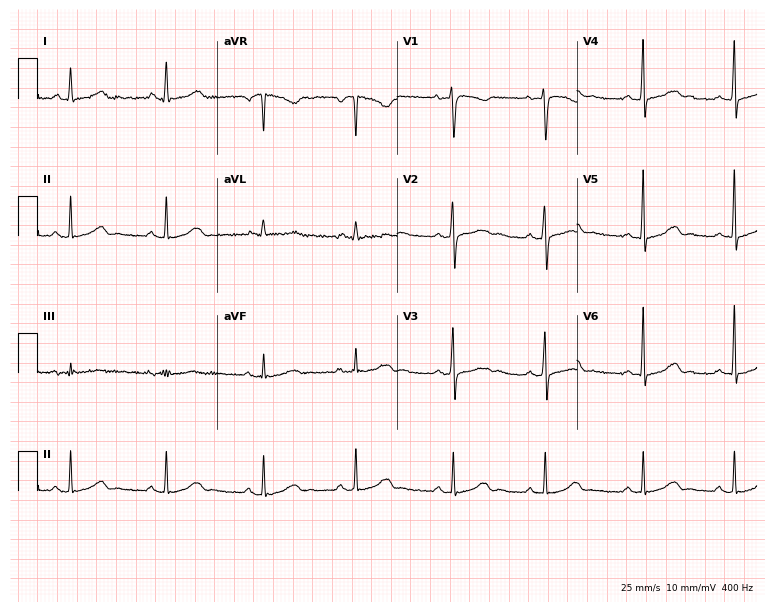
Resting 12-lead electrocardiogram. Patient: a 25-year-old female. Read as a normal ECG.